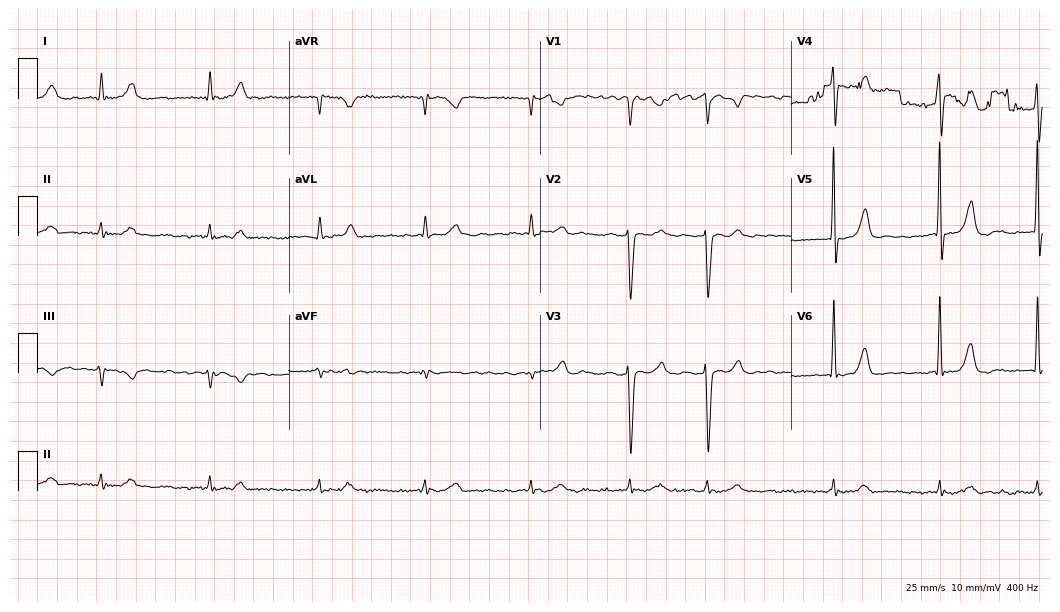
Standard 12-lead ECG recorded from a 61-year-old male patient (10.2-second recording at 400 Hz). The tracing shows atrial fibrillation.